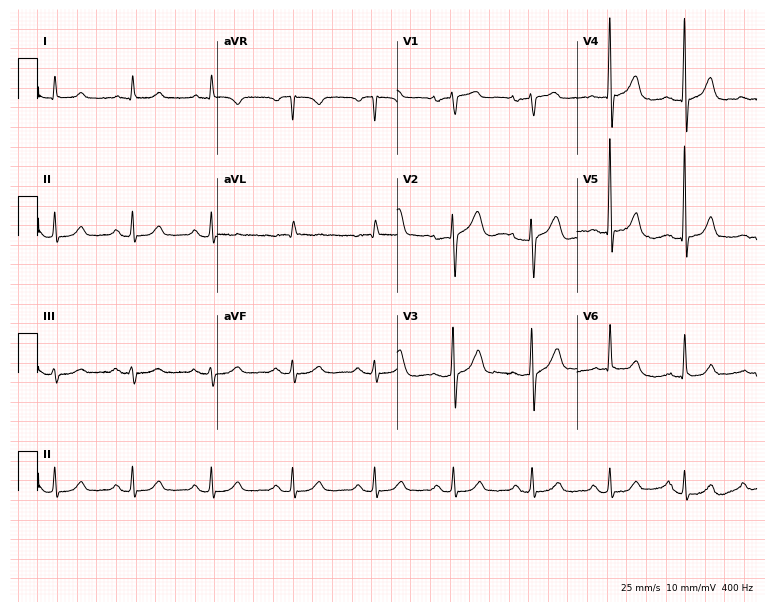
Resting 12-lead electrocardiogram (7.3-second recording at 400 Hz). Patient: a male, 77 years old. Read as a normal ECG.